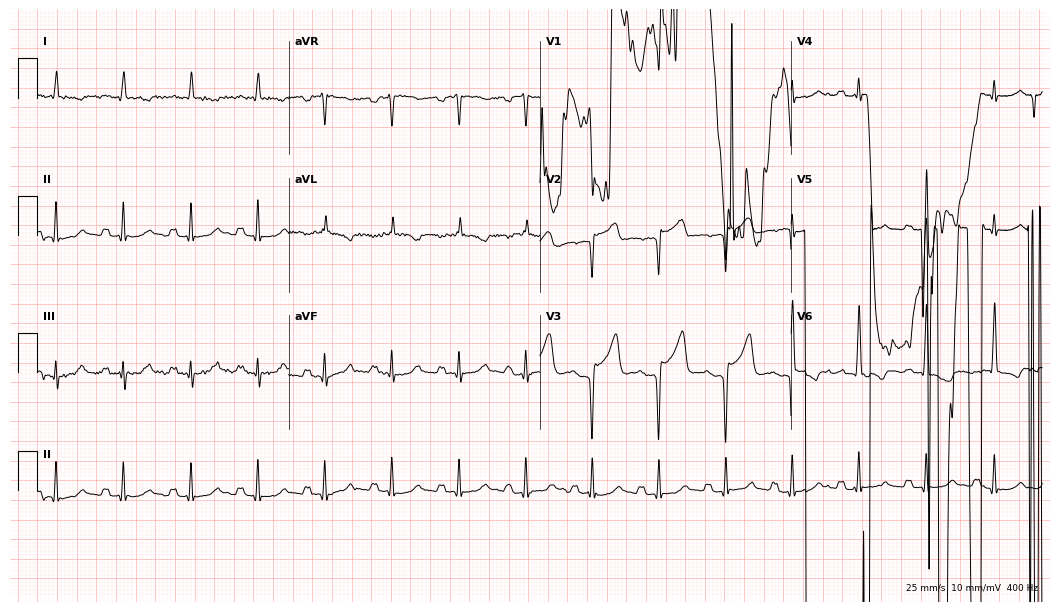
Standard 12-lead ECG recorded from a 64-year-old male patient. None of these six findings is recorded: first-degree AV block, right bundle branch block, left bundle branch block, sinus bradycardia, atrial fibrillation, sinus tachycardia. Findings outside these six are not listed.